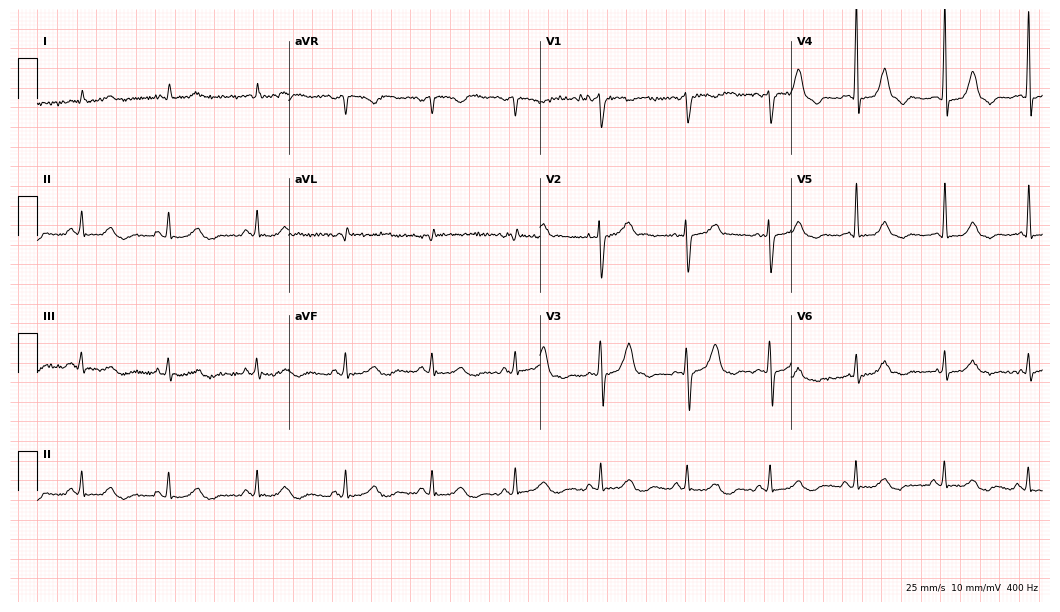
12-lead ECG from a 54-year-old female. Labelled as a normal ECG.